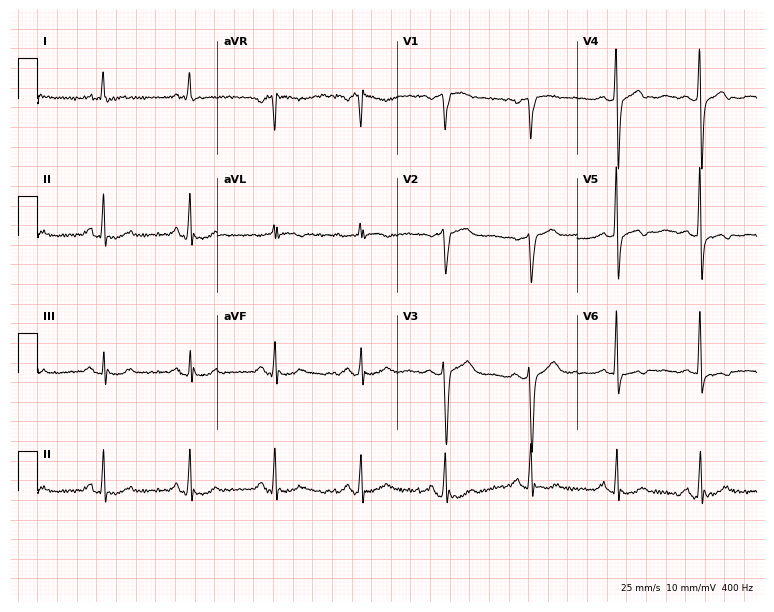
Standard 12-lead ECG recorded from a female, 66 years old (7.3-second recording at 400 Hz). None of these six findings is recorded: first-degree AV block, right bundle branch block, left bundle branch block, sinus bradycardia, atrial fibrillation, sinus tachycardia. Findings outside these six are not listed.